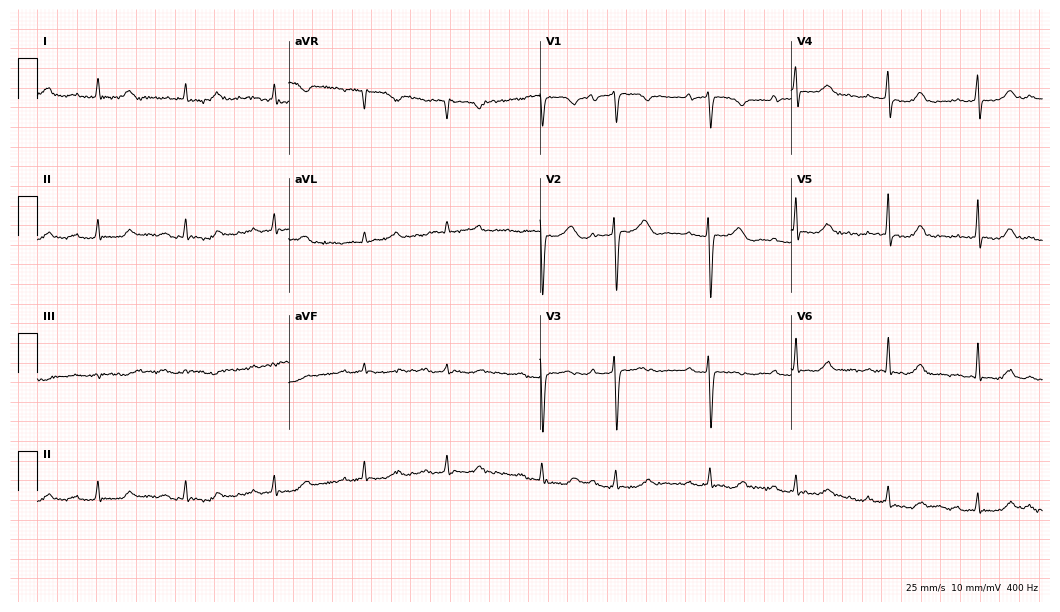
Standard 12-lead ECG recorded from a woman, 75 years old. None of these six findings is recorded: first-degree AV block, right bundle branch block (RBBB), left bundle branch block (LBBB), sinus bradycardia, atrial fibrillation (AF), sinus tachycardia.